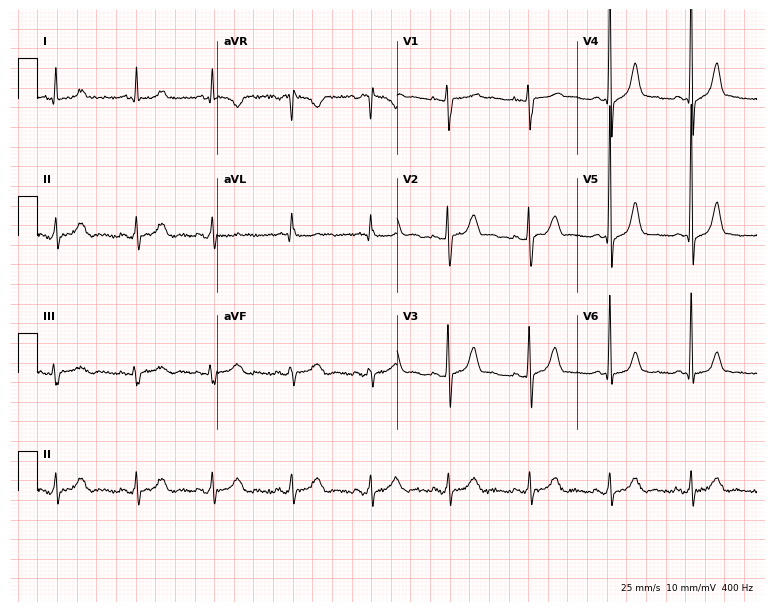
Resting 12-lead electrocardiogram (7.3-second recording at 400 Hz). Patient: a 27-year-old female. None of these six findings is recorded: first-degree AV block, right bundle branch block (RBBB), left bundle branch block (LBBB), sinus bradycardia, atrial fibrillation (AF), sinus tachycardia.